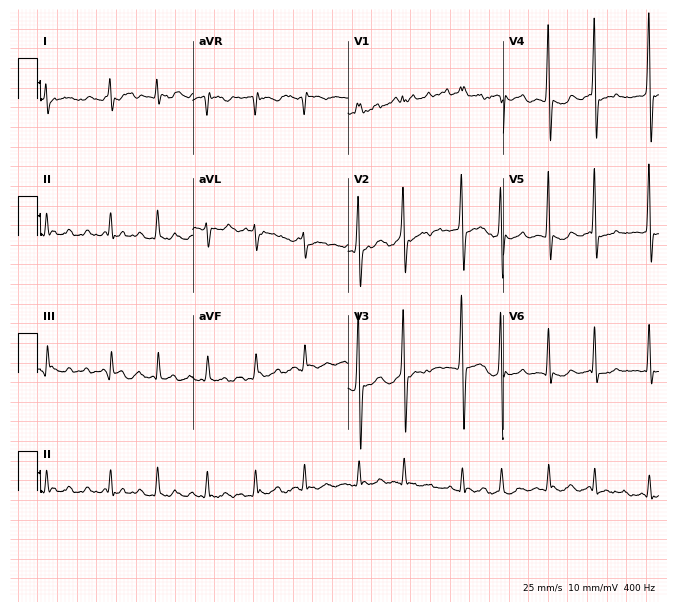
Standard 12-lead ECG recorded from a male patient, 70 years old (6.3-second recording at 400 Hz). None of these six findings is recorded: first-degree AV block, right bundle branch block, left bundle branch block, sinus bradycardia, atrial fibrillation, sinus tachycardia. Only these six findings were labelled.